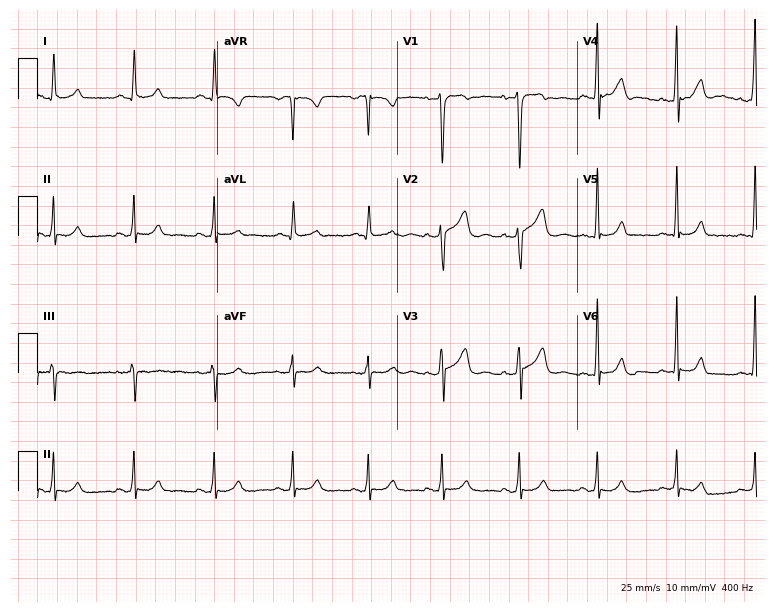
ECG (7.3-second recording at 400 Hz) — a woman, 26 years old. Labelled as a normal ECG.